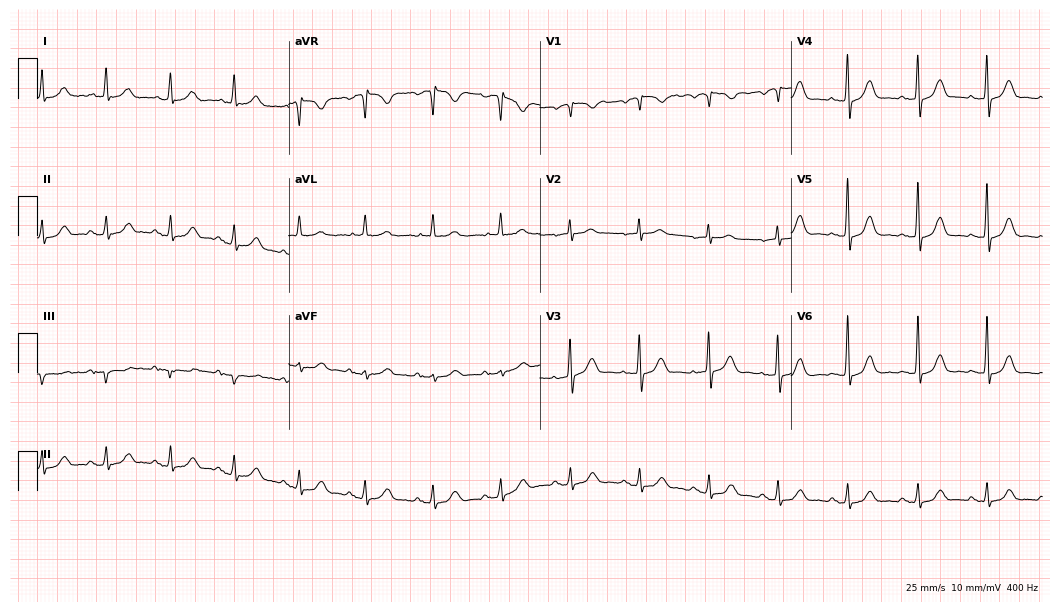
12-lead ECG from a 73-year-old male (10.2-second recording at 400 Hz). Recorded interpretation: within normal limits.